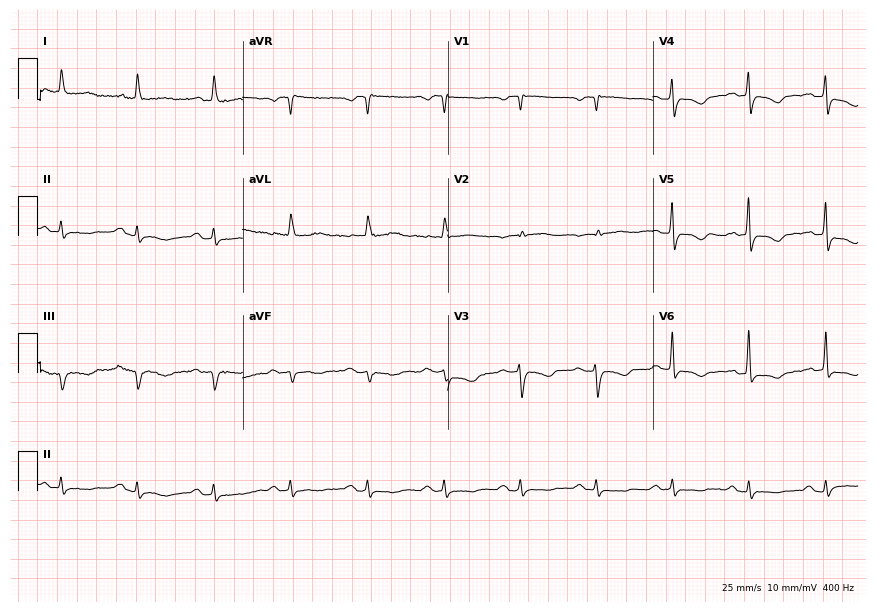
12-lead ECG from a 77-year-old female patient. Shows atrial fibrillation.